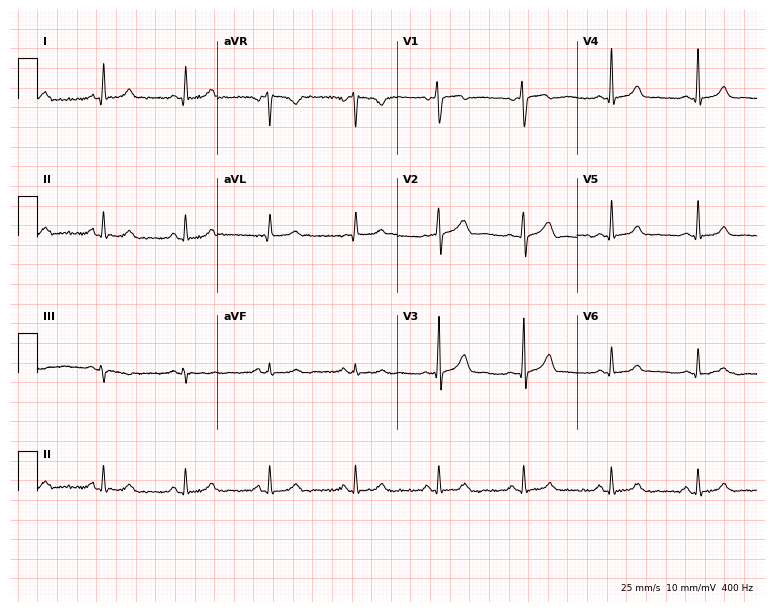
12-lead ECG from a 24-year-old female. Recorded interpretation: within normal limits.